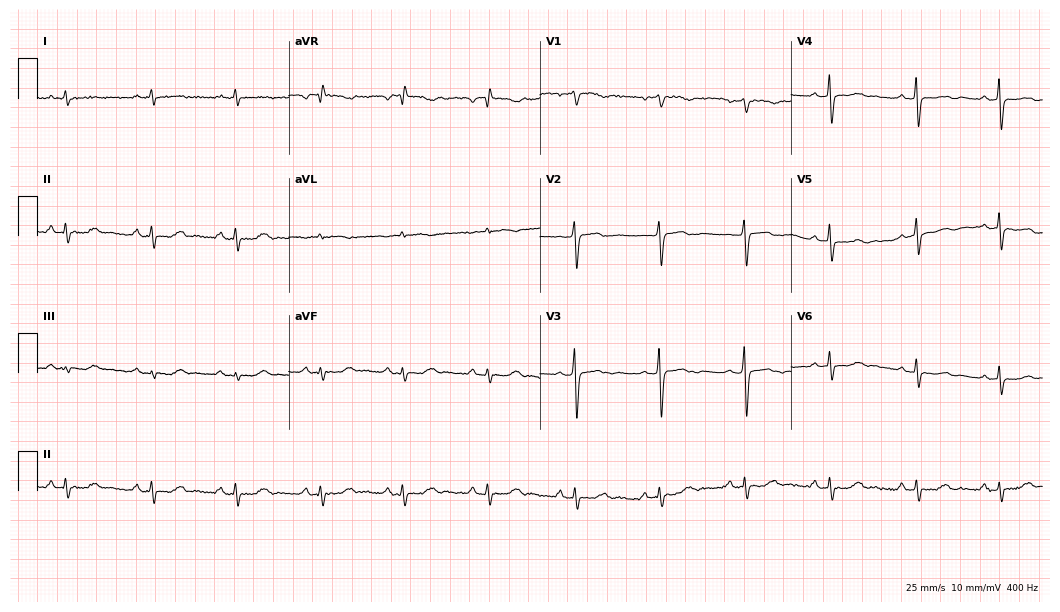
Resting 12-lead electrocardiogram (10.2-second recording at 400 Hz). Patient: a 65-year-old female. None of these six findings is recorded: first-degree AV block, right bundle branch block (RBBB), left bundle branch block (LBBB), sinus bradycardia, atrial fibrillation (AF), sinus tachycardia. Only these six findings were labelled.